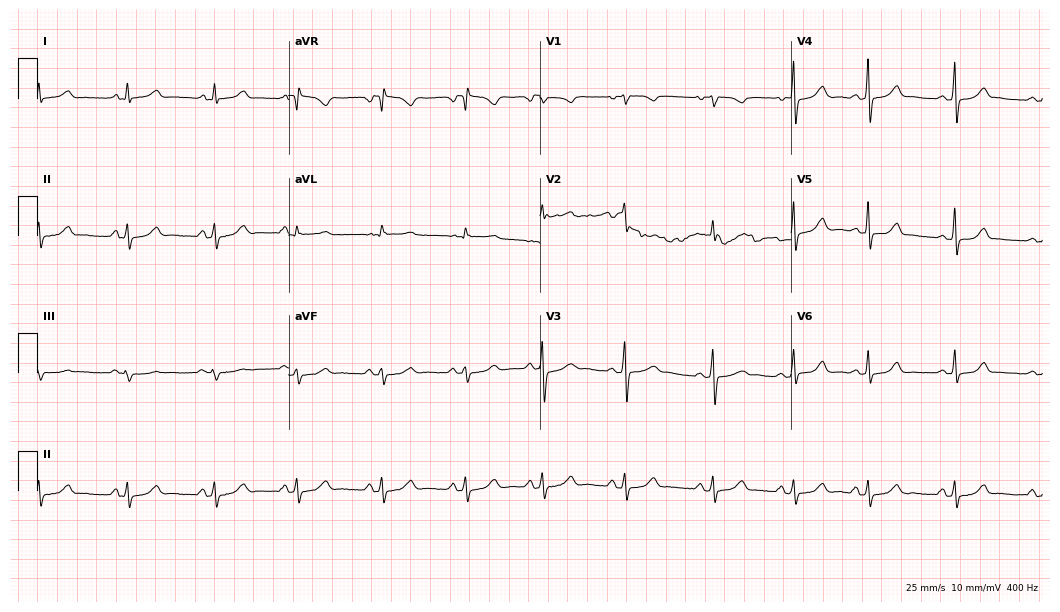
Electrocardiogram, a woman, 20 years old. Overall reading on record: normal ECG.